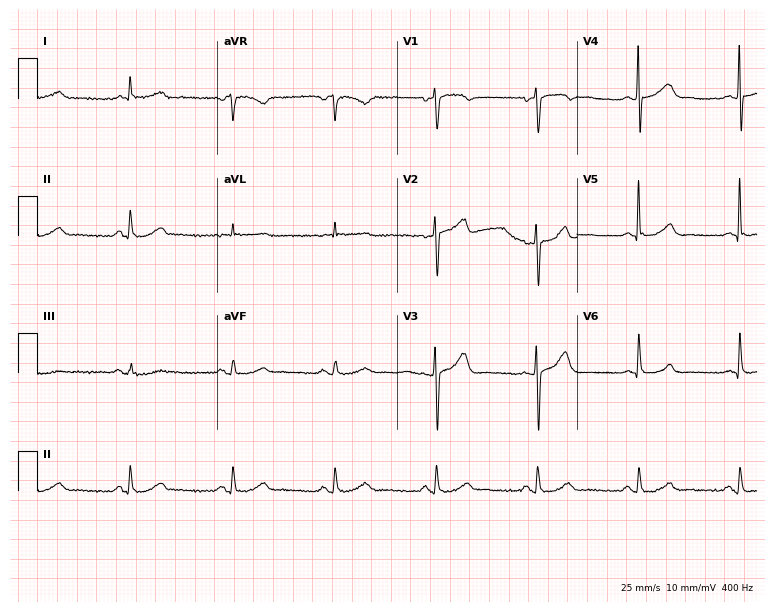
Electrocardiogram, a 74-year-old man. Of the six screened findings (first-degree AV block, right bundle branch block, left bundle branch block, sinus bradycardia, atrial fibrillation, sinus tachycardia), none is recorded.